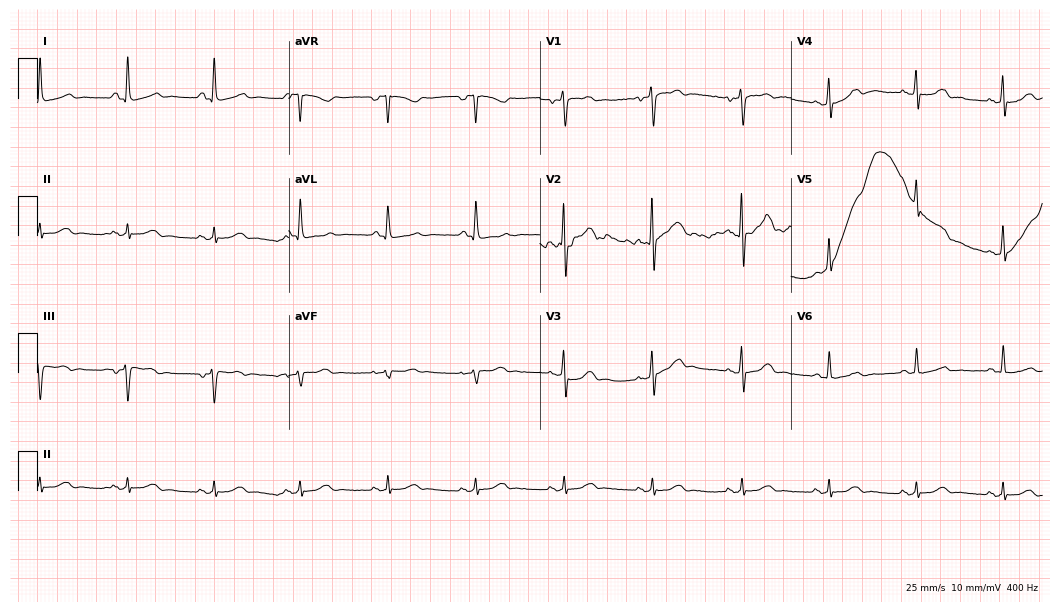
12-lead ECG from a male patient, 59 years old. Recorded interpretation: within normal limits.